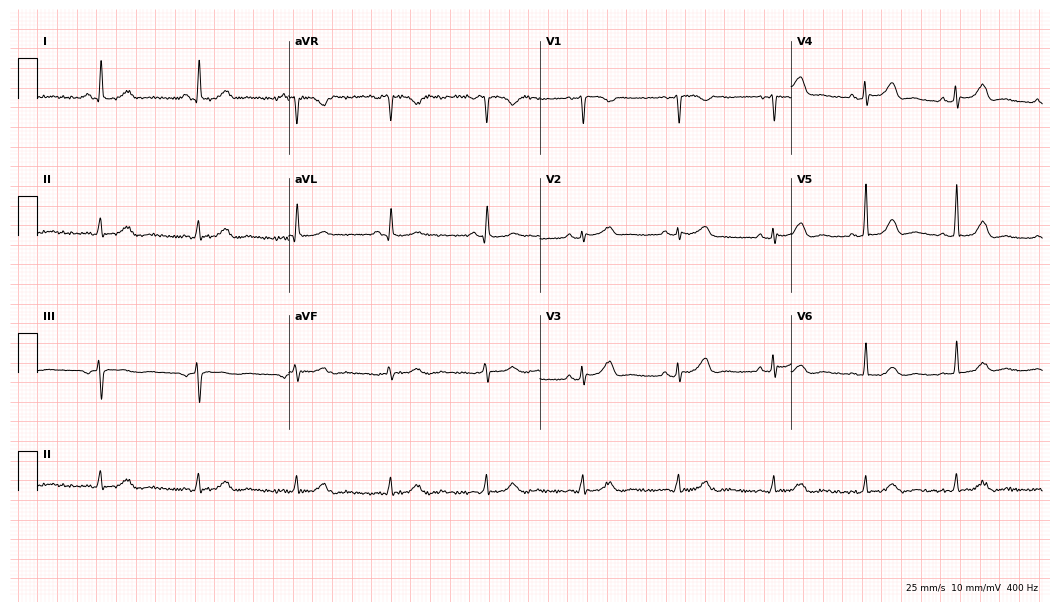
Resting 12-lead electrocardiogram. Patient: a 54-year-old woman. Read as a normal ECG.